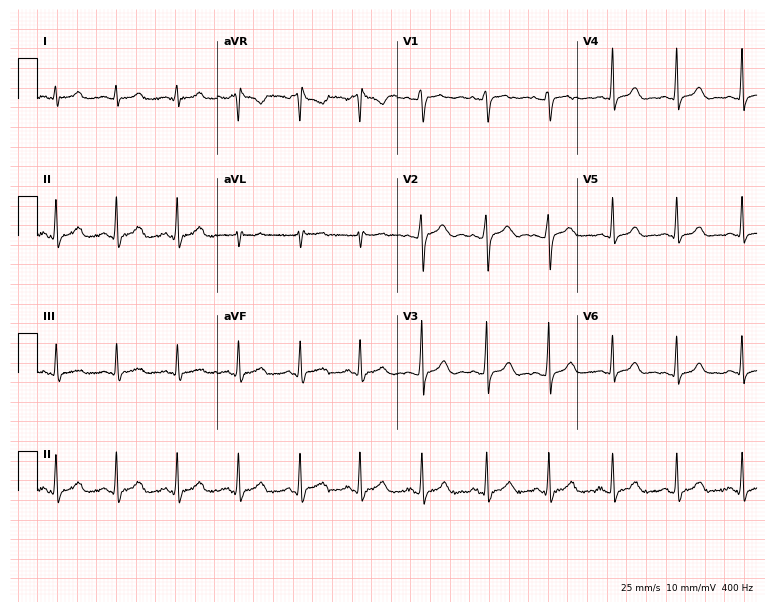
Resting 12-lead electrocardiogram (7.3-second recording at 400 Hz). Patient: a 19-year-old female. None of these six findings is recorded: first-degree AV block, right bundle branch block, left bundle branch block, sinus bradycardia, atrial fibrillation, sinus tachycardia.